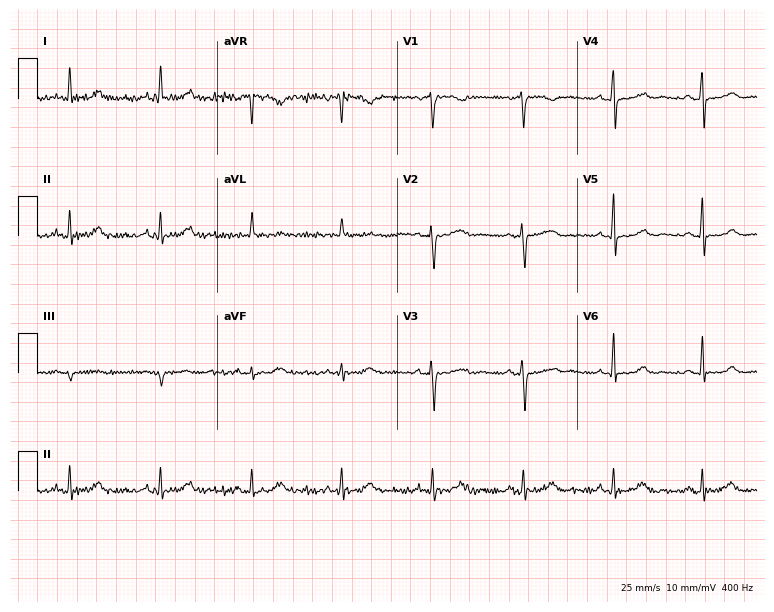
ECG (7.3-second recording at 400 Hz) — a 66-year-old female patient. Labelled as a normal ECG.